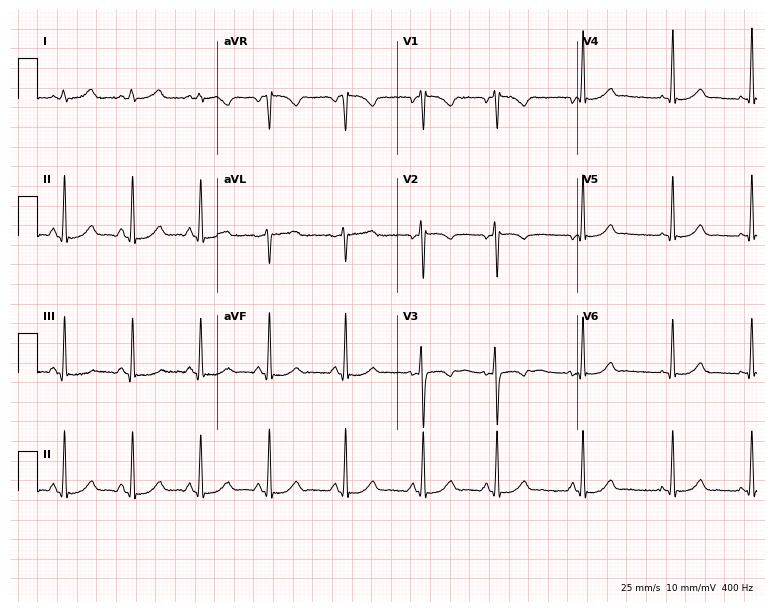
12-lead ECG (7.3-second recording at 400 Hz) from a 26-year-old female. Screened for six findings — first-degree AV block, right bundle branch block, left bundle branch block, sinus bradycardia, atrial fibrillation, sinus tachycardia — none is recorded. Findings outside these six are not listed.